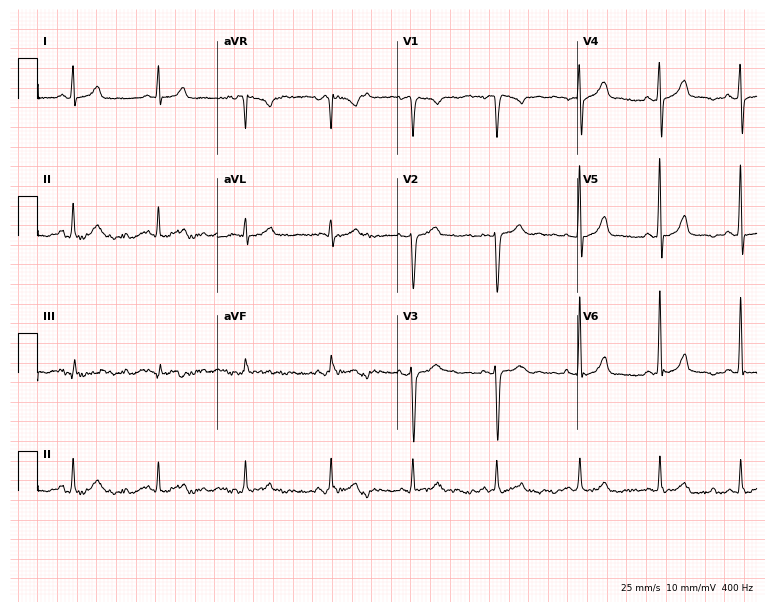
Resting 12-lead electrocardiogram. Patient: a 42-year-old male. Read as a normal ECG.